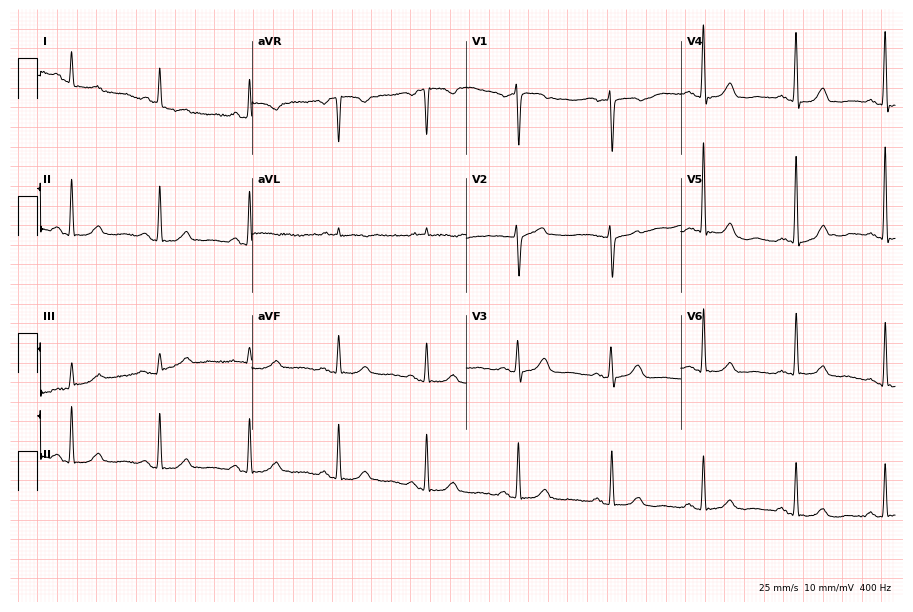
Standard 12-lead ECG recorded from a female patient, 53 years old (8.7-second recording at 400 Hz). None of these six findings is recorded: first-degree AV block, right bundle branch block (RBBB), left bundle branch block (LBBB), sinus bradycardia, atrial fibrillation (AF), sinus tachycardia.